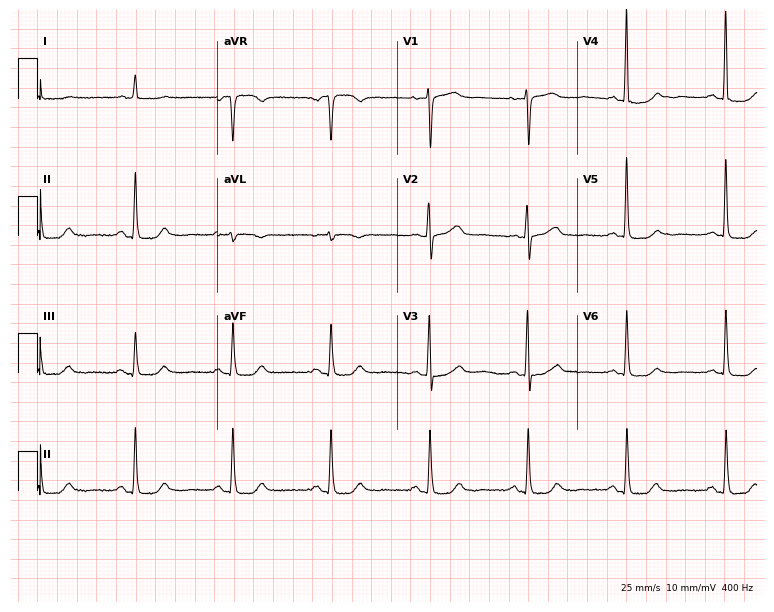
12-lead ECG (7.3-second recording at 400 Hz) from a 72-year-old female patient. Screened for six findings — first-degree AV block, right bundle branch block, left bundle branch block, sinus bradycardia, atrial fibrillation, sinus tachycardia — none is recorded.